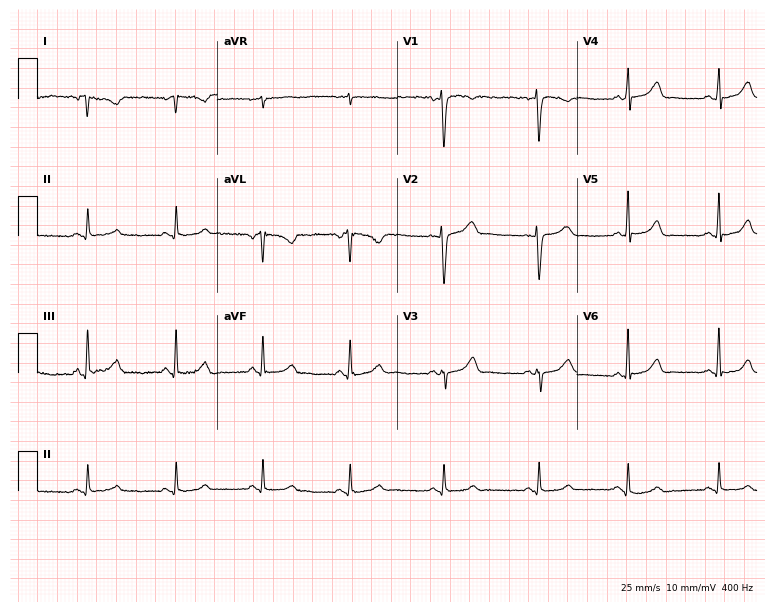
12-lead ECG from a woman, 39 years old. No first-degree AV block, right bundle branch block, left bundle branch block, sinus bradycardia, atrial fibrillation or sinus tachycardia recorded for this tracing. Only these six findings were labelled.